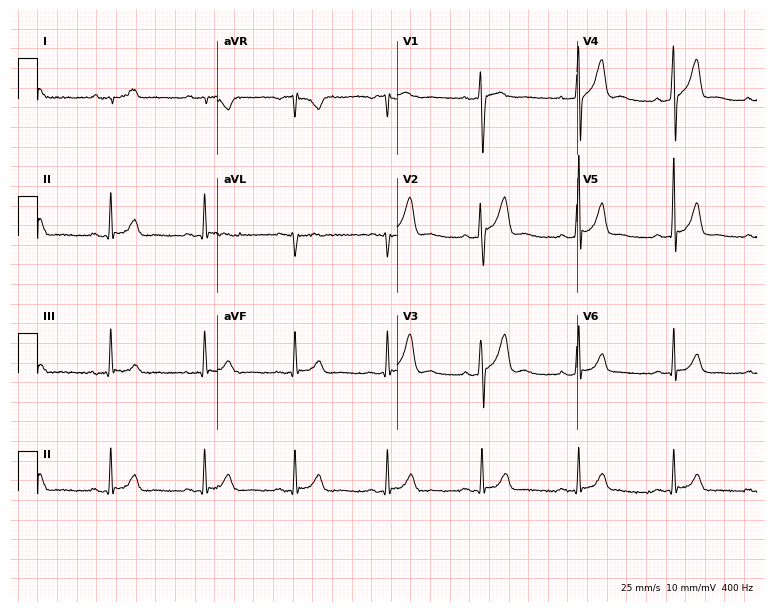
Resting 12-lead electrocardiogram. Patient: a 30-year-old male. Read as a normal ECG.